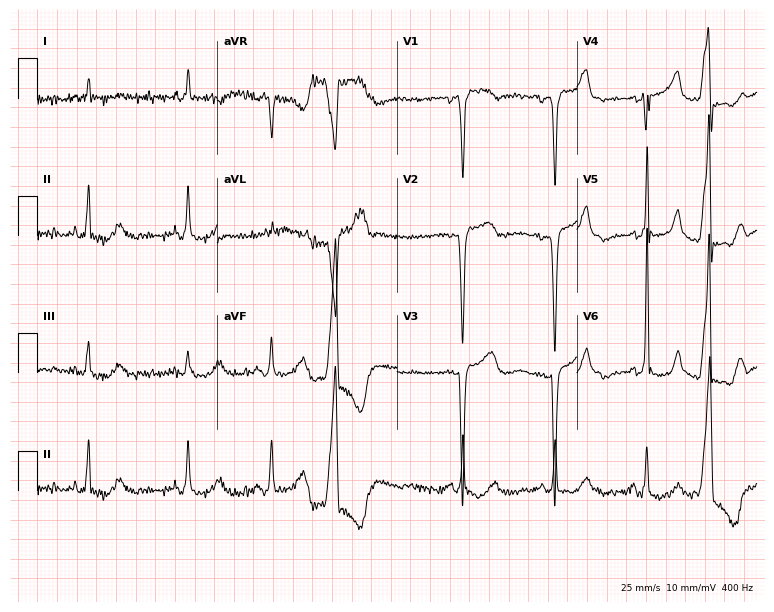
ECG (7.3-second recording at 400 Hz) — an 82-year-old woman. Screened for six findings — first-degree AV block, right bundle branch block, left bundle branch block, sinus bradycardia, atrial fibrillation, sinus tachycardia — none is recorded. Findings outside these six are not listed.